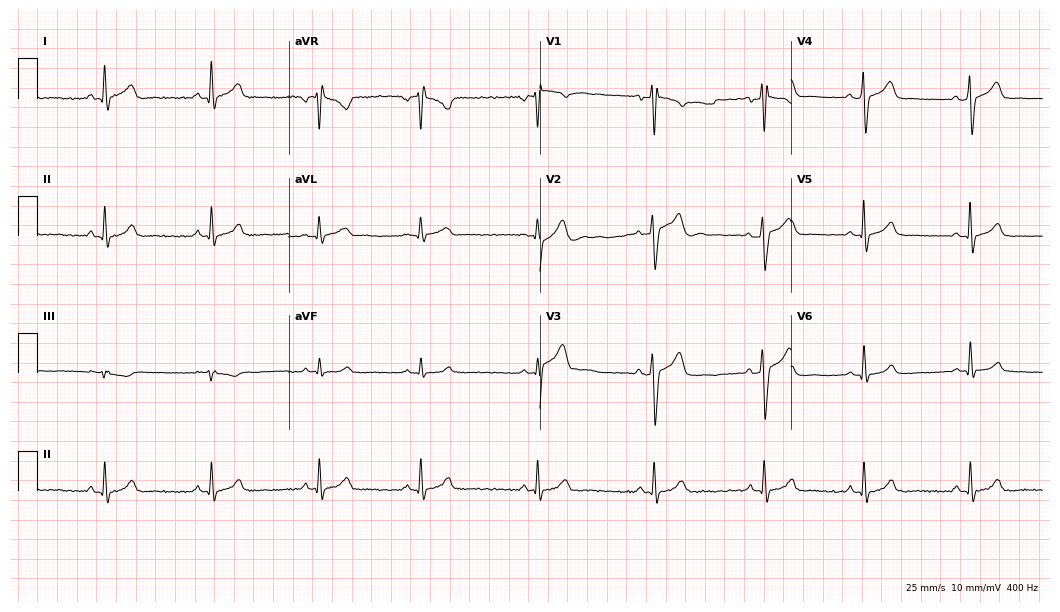
Resting 12-lead electrocardiogram. Patient: a male, 31 years old. None of these six findings is recorded: first-degree AV block, right bundle branch block (RBBB), left bundle branch block (LBBB), sinus bradycardia, atrial fibrillation (AF), sinus tachycardia. Only these six findings were labelled.